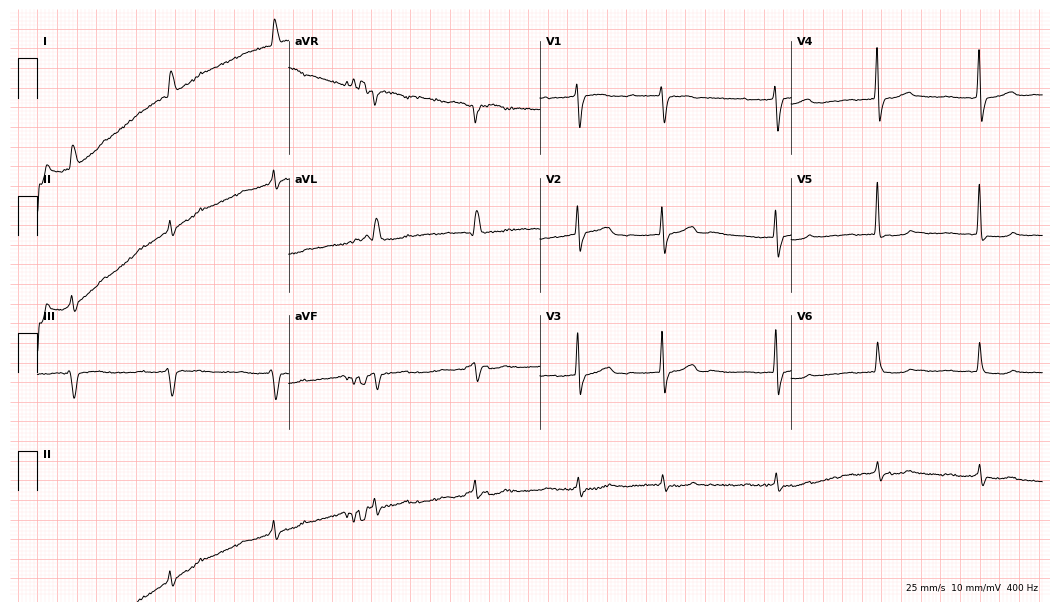
Standard 12-lead ECG recorded from a female patient, 85 years old. None of these six findings is recorded: first-degree AV block, right bundle branch block (RBBB), left bundle branch block (LBBB), sinus bradycardia, atrial fibrillation (AF), sinus tachycardia.